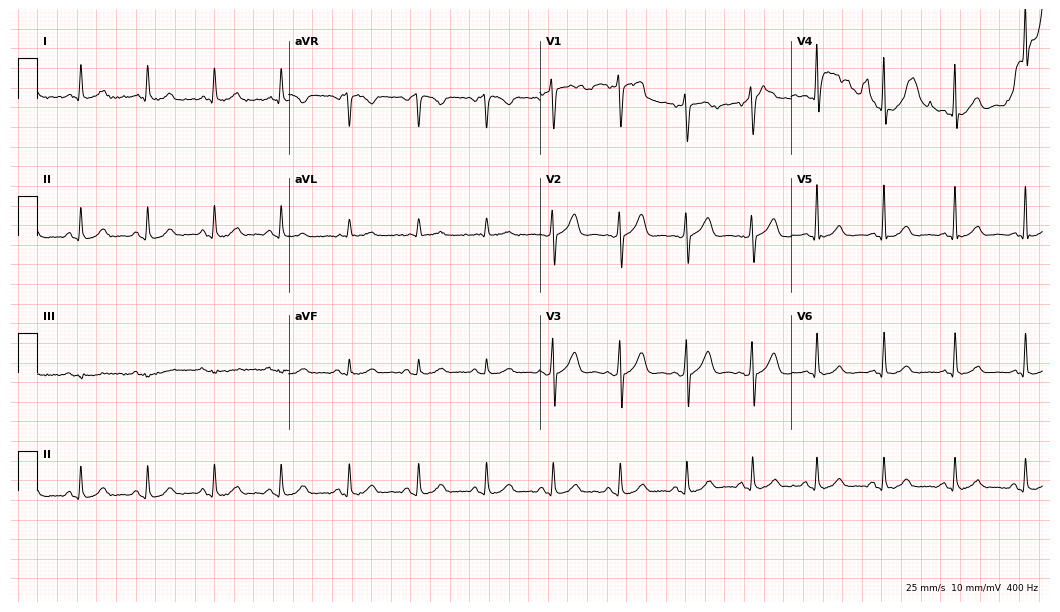
Electrocardiogram (10.2-second recording at 400 Hz), a 54-year-old male. Of the six screened findings (first-degree AV block, right bundle branch block, left bundle branch block, sinus bradycardia, atrial fibrillation, sinus tachycardia), none is recorded. Other findings, if any, are not listed.